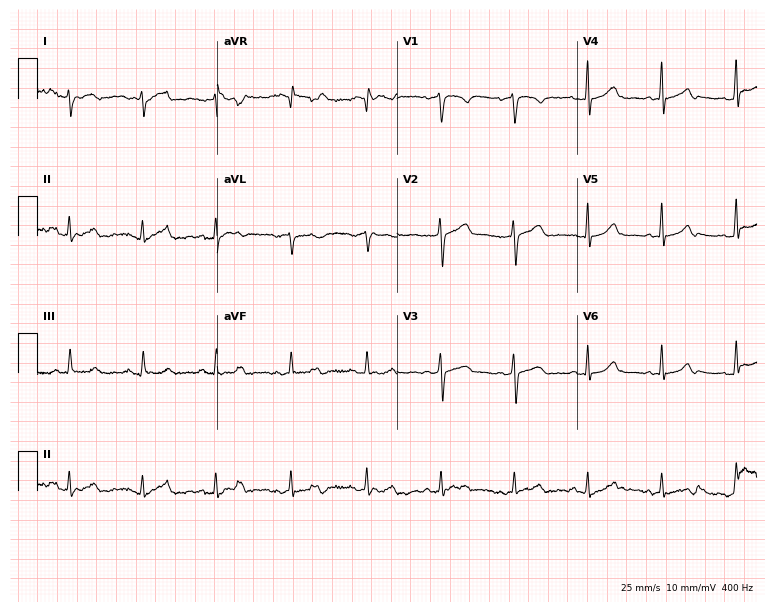
ECG — a female patient, 39 years old. Labelled as a normal ECG.